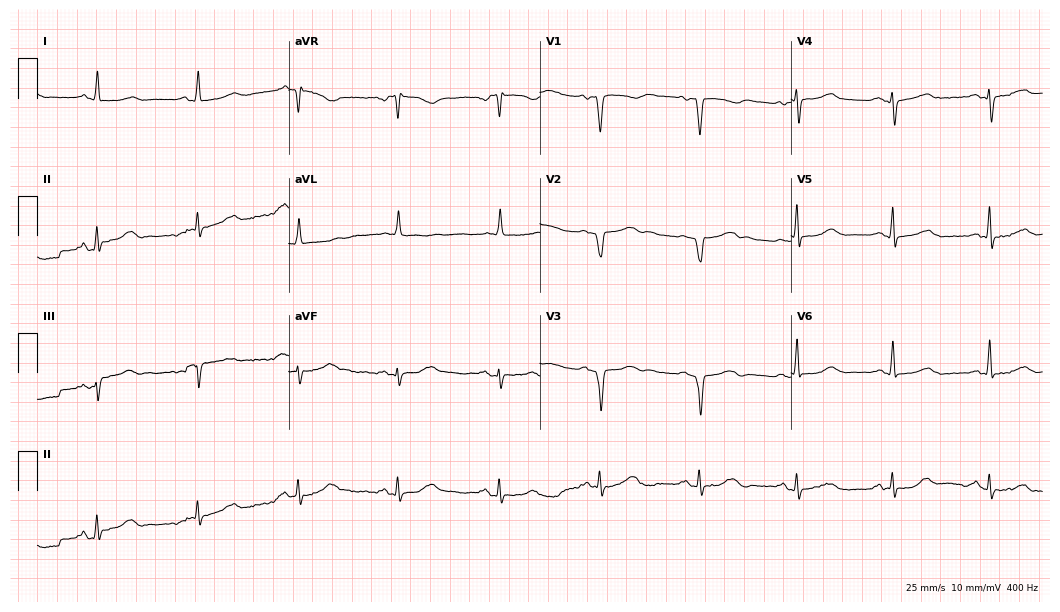
Resting 12-lead electrocardiogram (10.2-second recording at 400 Hz). Patient: a male, 84 years old. None of these six findings is recorded: first-degree AV block, right bundle branch block, left bundle branch block, sinus bradycardia, atrial fibrillation, sinus tachycardia. Other findings, if any, are not listed.